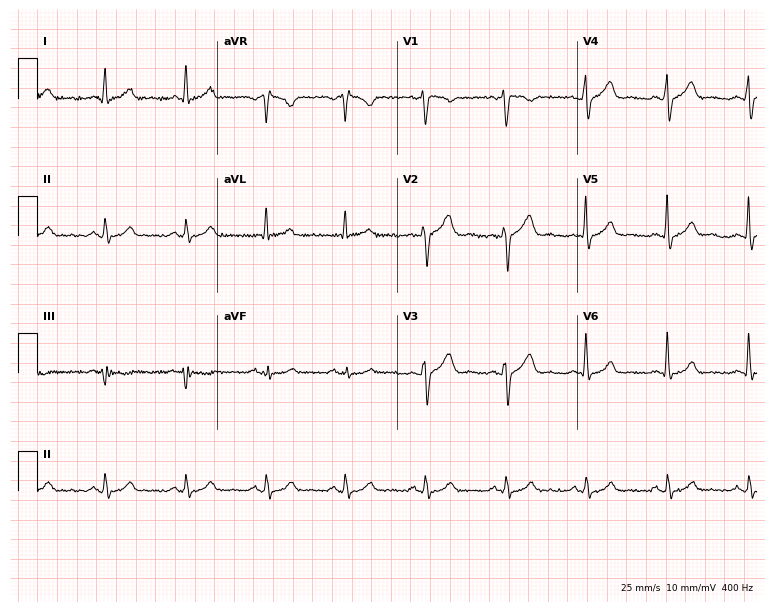
Standard 12-lead ECG recorded from a male, 44 years old. None of these six findings is recorded: first-degree AV block, right bundle branch block, left bundle branch block, sinus bradycardia, atrial fibrillation, sinus tachycardia.